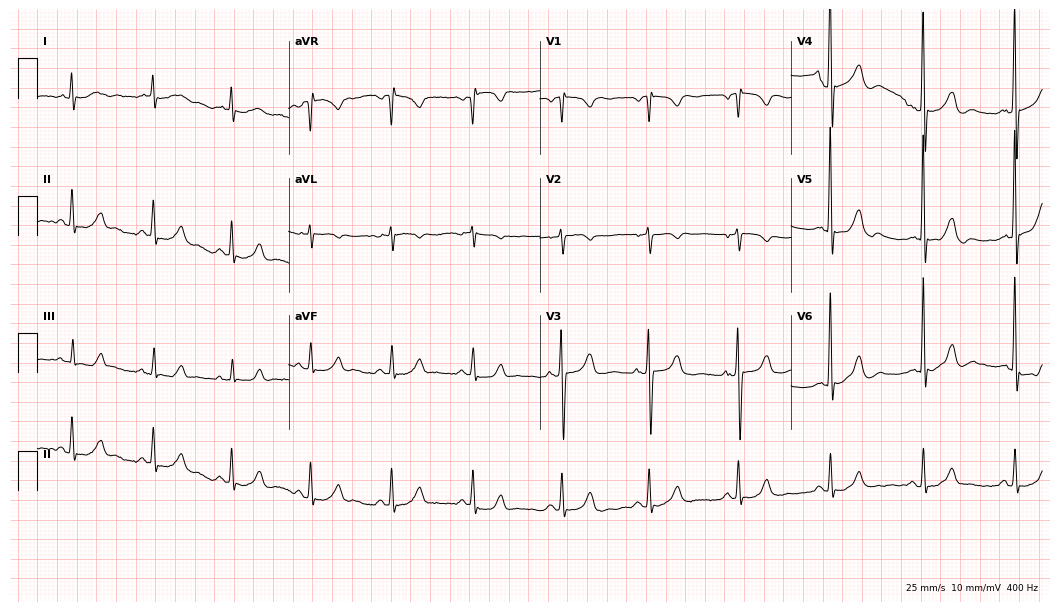
ECG (10.2-second recording at 400 Hz) — a 66-year-old man. Labelled as a normal ECG.